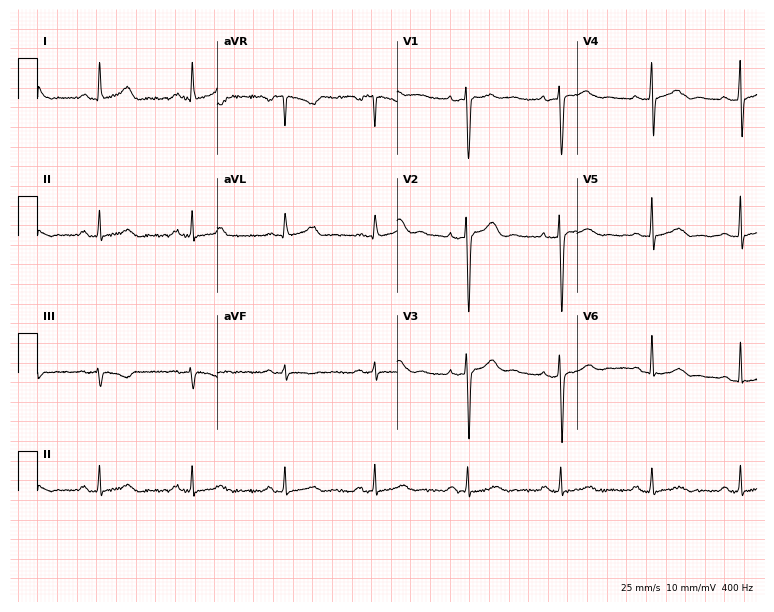
Electrocardiogram (7.3-second recording at 400 Hz), a female patient, 32 years old. Of the six screened findings (first-degree AV block, right bundle branch block (RBBB), left bundle branch block (LBBB), sinus bradycardia, atrial fibrillation (AF), sinus tachycardia), none is recorded. Other findings, if any, are not listed.